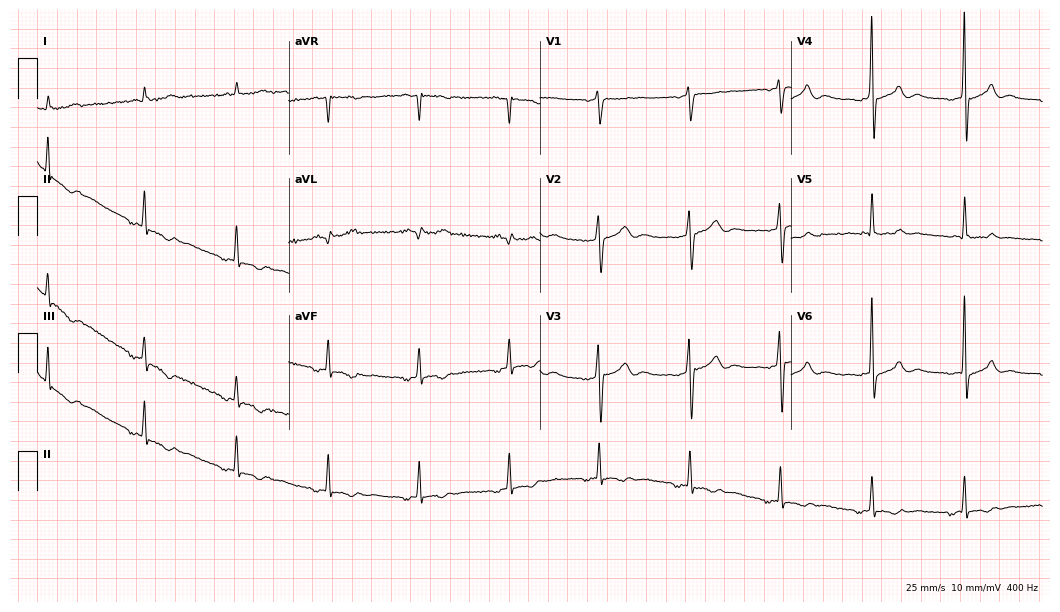
Electrocardiogram (10.2-second recording at 400 Hz), a male, 83 years old. Of the six screened findings (first-degree AV block, right bundle branch block, left bundle branch block, sinus bradycardia, atrial fibrillation, sinus tachycardia), none is recorded. Other findings, if any, are not listed.